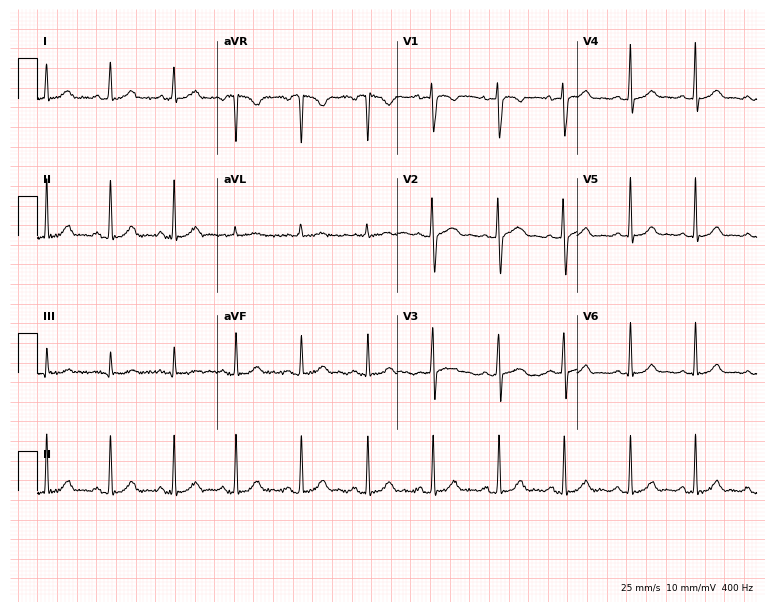
12-lead ECG from a female, 24 years old. Recorded interpretation: within normal limits.